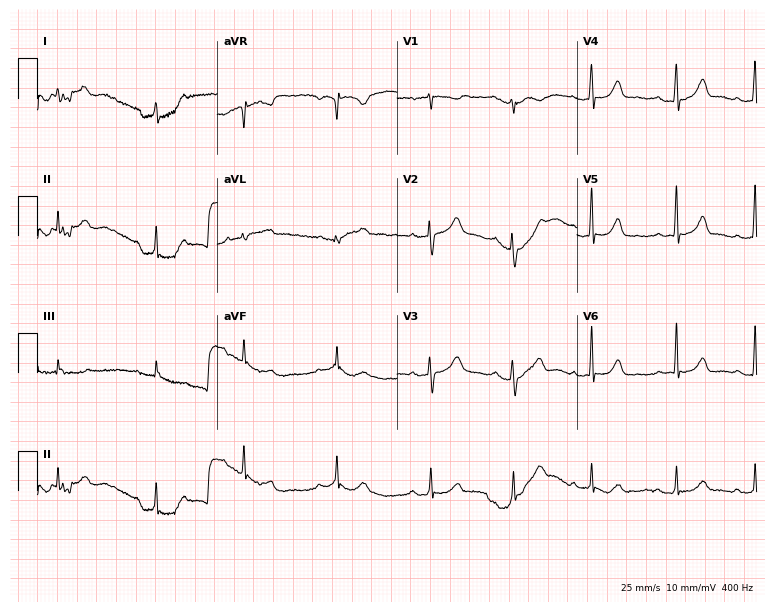
12-lead ECG (7.3-second recording at 400 Hz) from a woman, 29 years old. Labelled as a normal ECG.